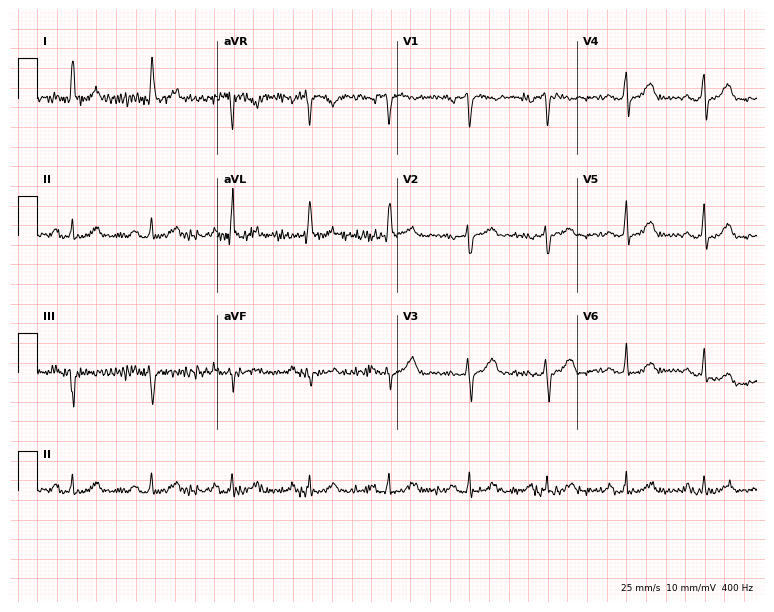
Standard 12-lead ECG recorded from a 66-year-old female patient. None of these six findings is recorded: first-degree AV block, right bundle branch block (RBBB), left bundle branch block (LBBB), sinus bradycardia, atrial fibrillation (AF), sinus tachycardia.